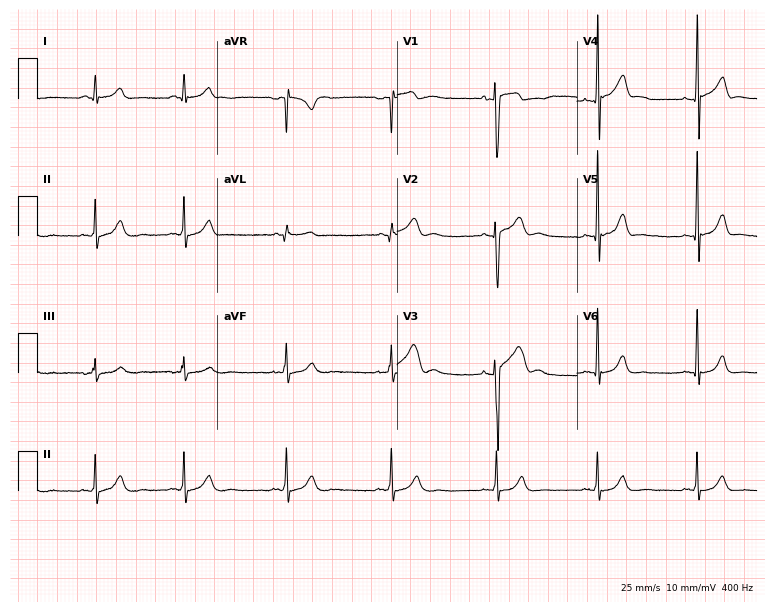
ECG — a 19-year-old man. Labelled as a normal ECG.